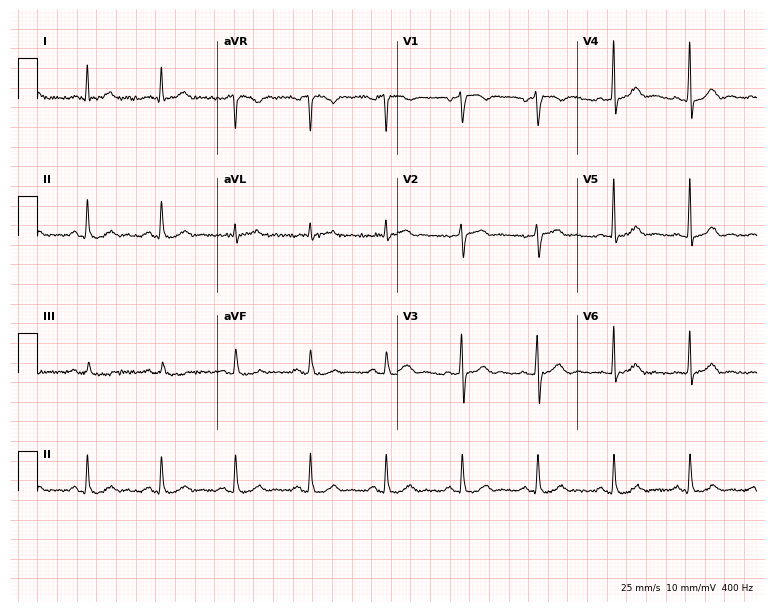
Standard 12-lead ECG recorded from a 61-year-old male patient (7.3-second recording at 400 Hz). Read as a normal ECG.